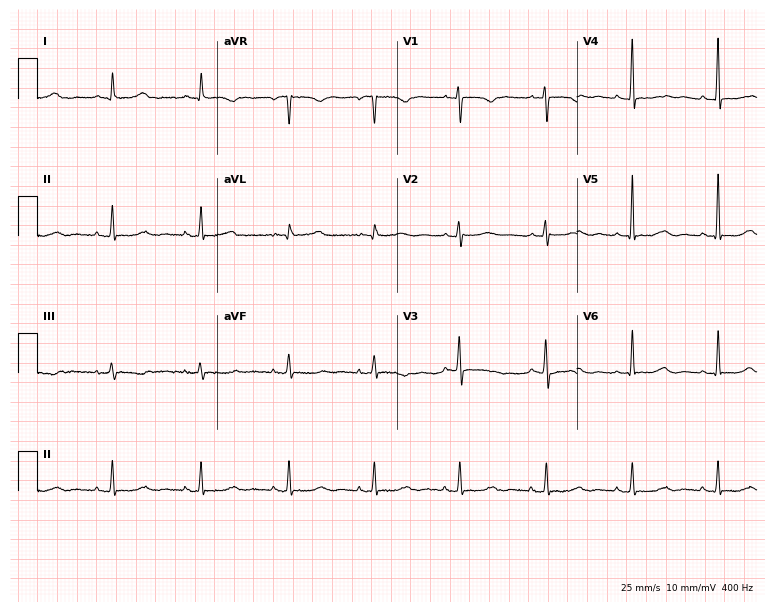
Resting 12-lead electrocardiogram (7.3-second recording at 400 Hz). Patient: a 62-year-old woman. Read as a normal ECG.